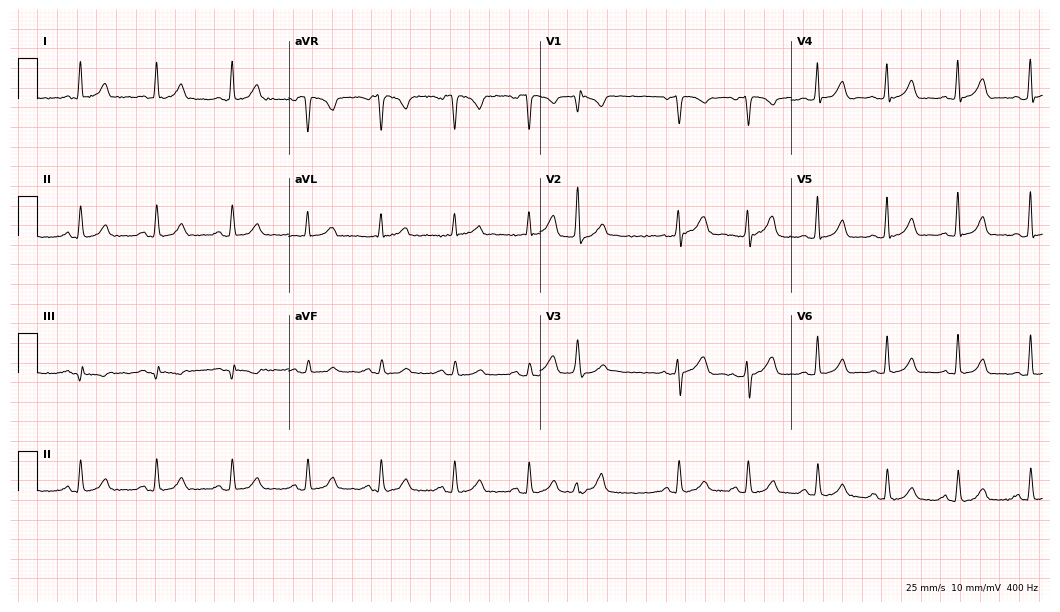
Standard 12-lead ECG recorded from a woman, 50 years old (10.2-second recording at 400 Hz). Read as a normal ECG.